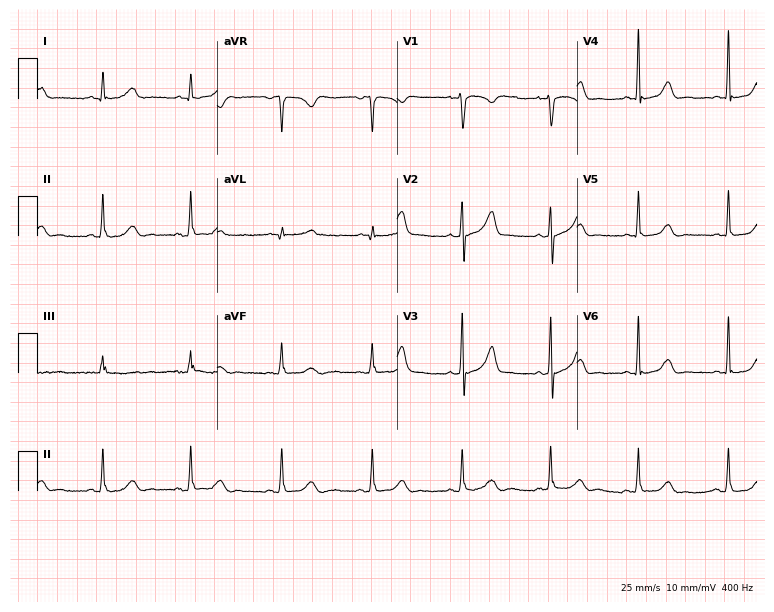
Resting 12-lead electrocardiogram (7.3-second recording at 400 Hz). Patient: a female, 53 years old. Read as a normal ECG.